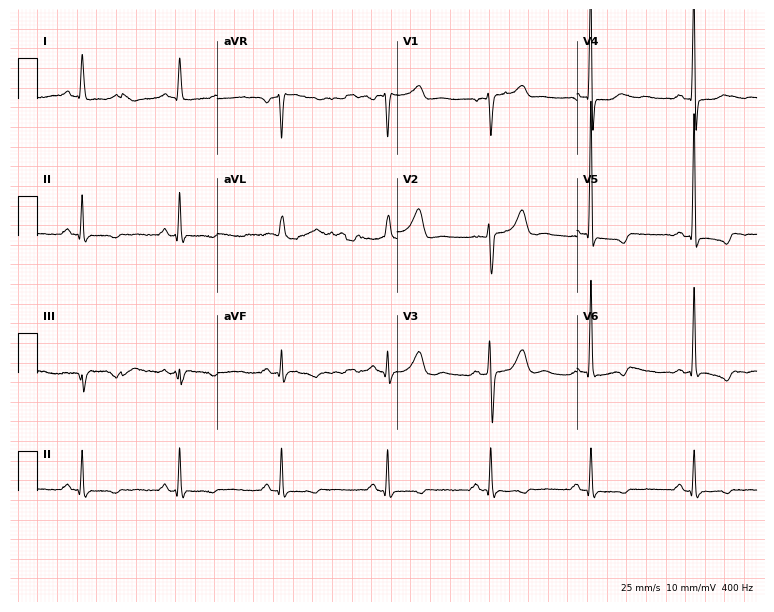
ECG — a woman, 65 years old. Screened for six findings — first-degree AV block, right bundle branch block (RBBB), left bundle branch block (LBBB), sinus bradycardia, atrial fibrillation (AF), sinus tachycardia — none is recorded.